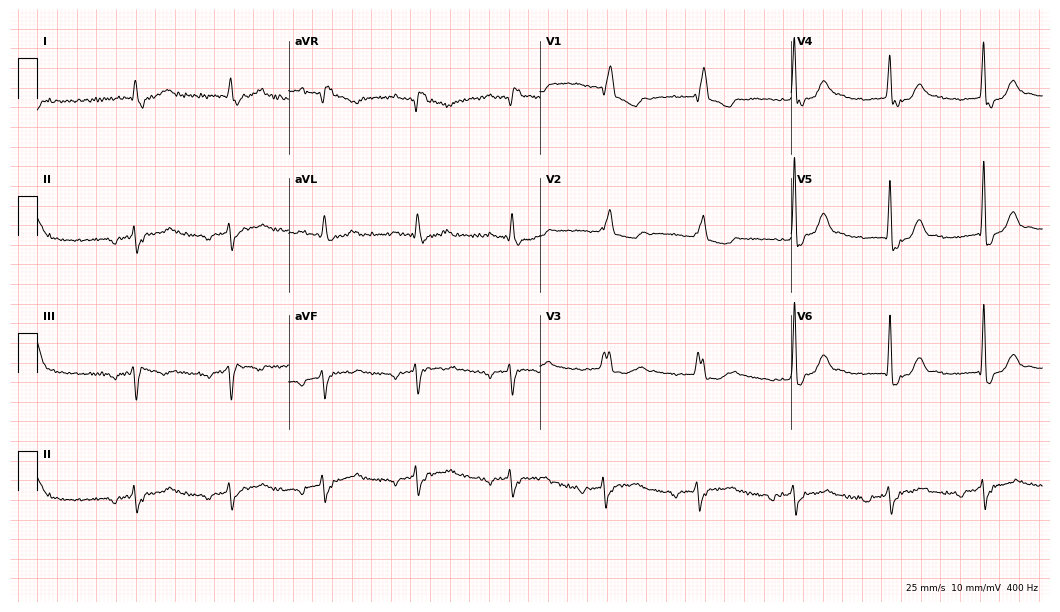
ECG — a 75-year-old male patient. Findings include first-degree AV block, right bundle branch block (RBBB).